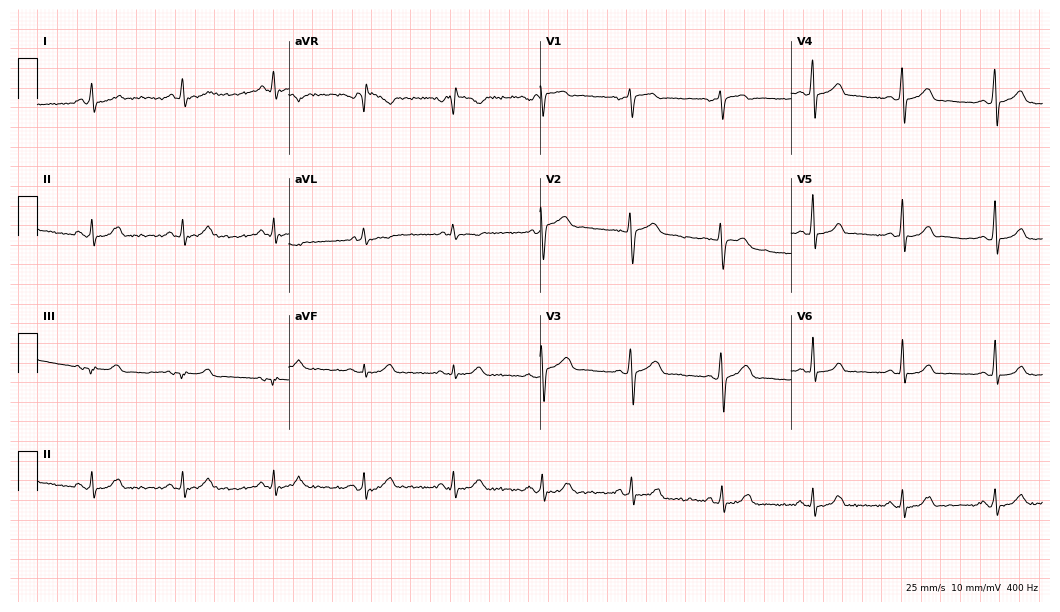
12-lead ECG from a 35-year-old male patient. Screened for six findings — first-degree AV block, right bundle branch block (RBBB), left bundle branch block (LBBB), sinus bradycardia, atrial fibrillation (AF), sinus tachycardia — none is recorded. Other findings, if any, are not listed.